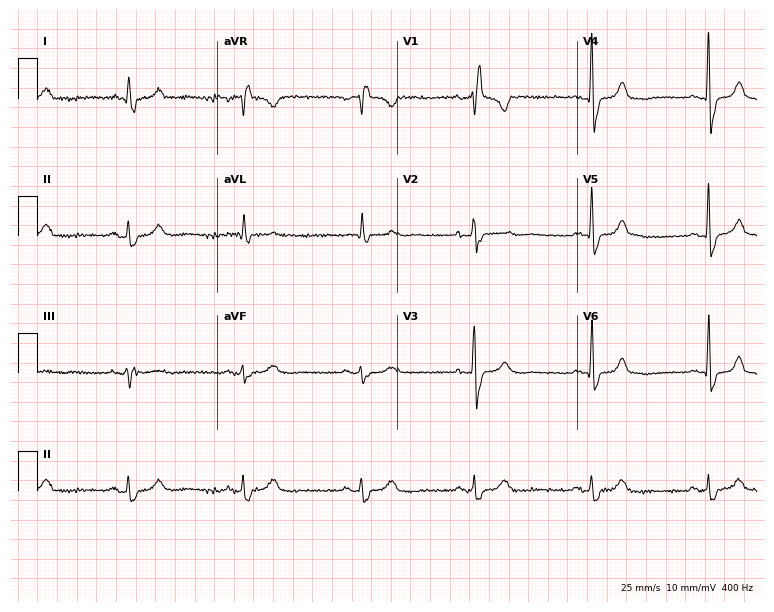
ECG (7.3-second recording at 400 Hz) — an 80-year-old male. Findings include right bundle branch block.